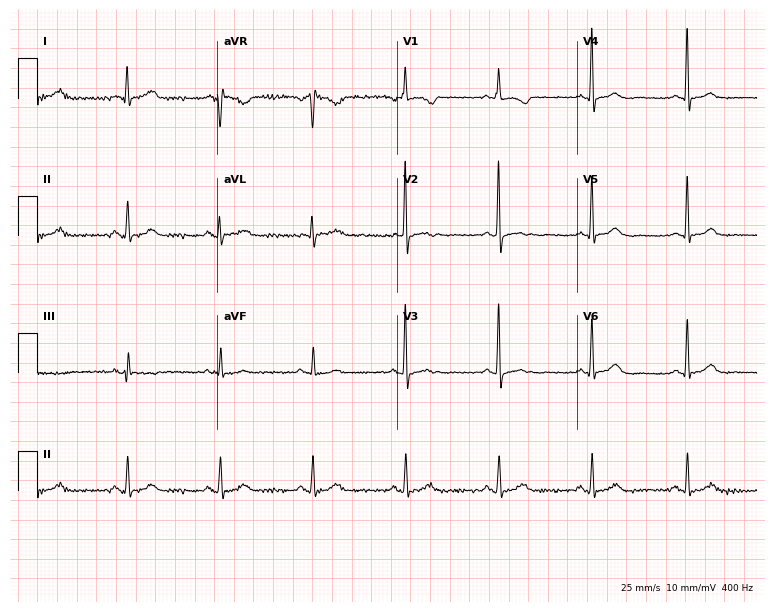
Standard 12-lead ECG recorded from a woman, 71 years old (7.3-second recording at 400 Hz). Read as a normal ECG.